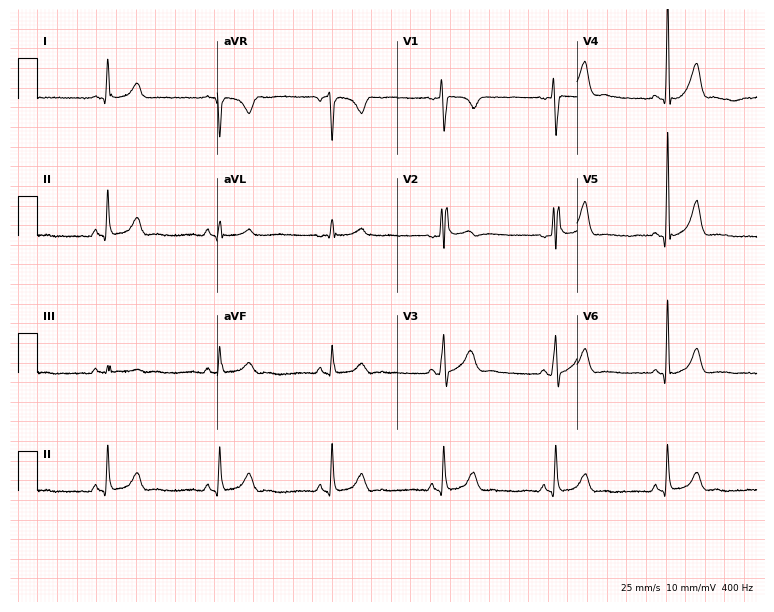
Standard 12-lead ECG recorded from a 22-year-old male patient (7.3-second recording at 400 Hz). Read as a normal ECG.